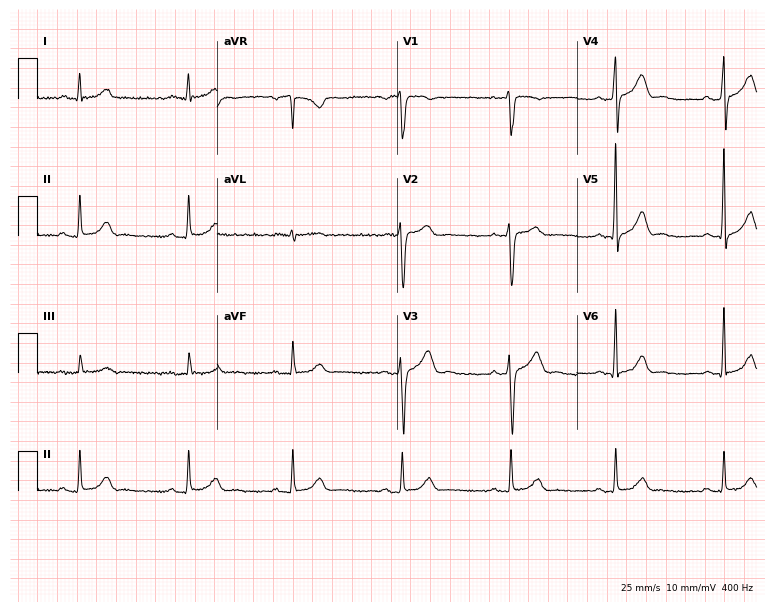
12-lead ECG from a 60-year-old man (7.3-second recording at 400 Hz). No first-degree AV block, right bundle branch block, left bundle branch block, sinus bradycardia, atrial fibrillation or sinus tachycardia recorded for this tracing. Other findings, if any, are not listed.